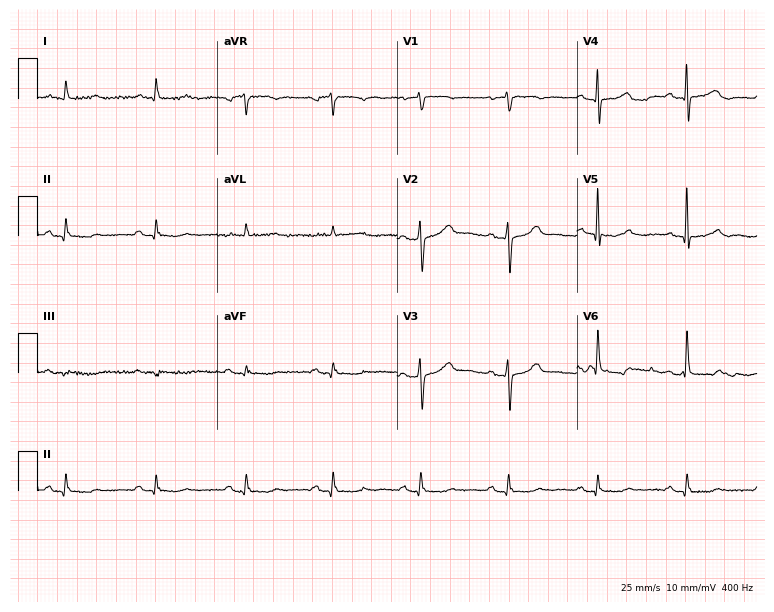
12-lead ECG from a 76-year-old man. Screened for six findings — first-degree AV block, right bundle branch block, left bundle branch block, sinus bradycardia, atrial fibrillation, sinus tachycardia — none is recorded. Only these six findings were labelled.